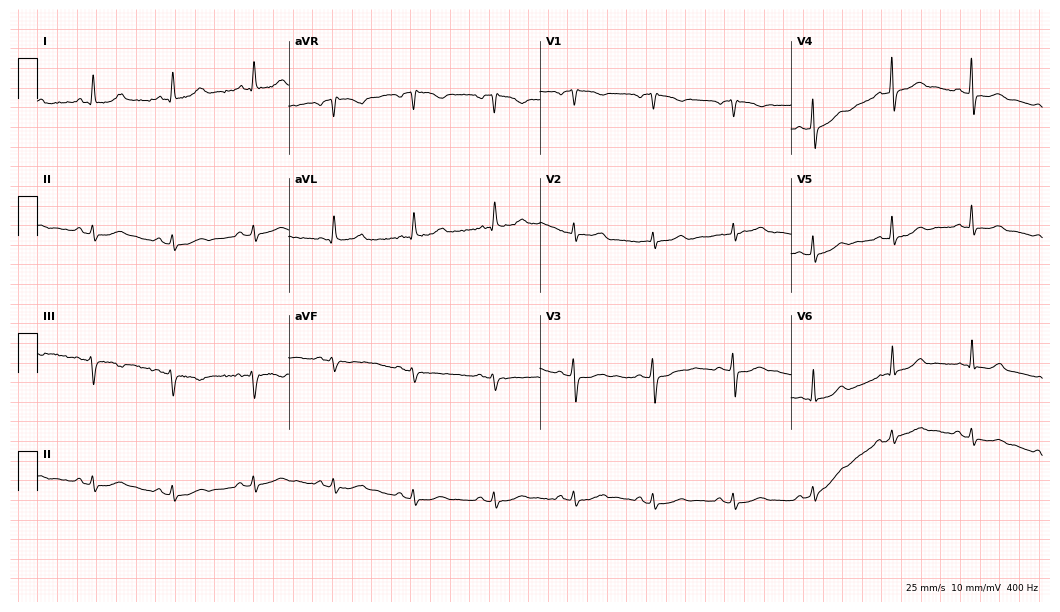
ECG — a 76-year-old woman. Labelled as a normal ECG.